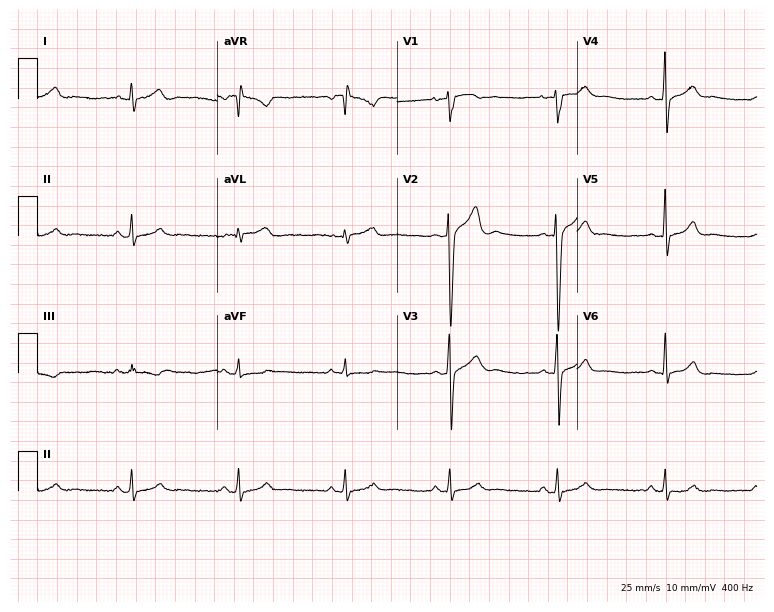
ECG — a male patient, 25 years old. Labelled as a normal ECG.